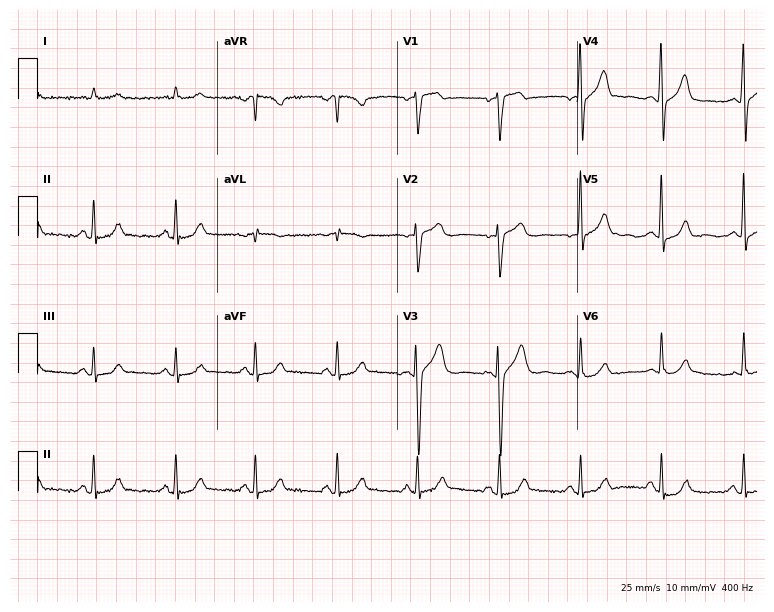
Electrocardiogram (7.3-second recording at 400 Hz), a man, 68 years old. Overall reading on record: normal ECG.